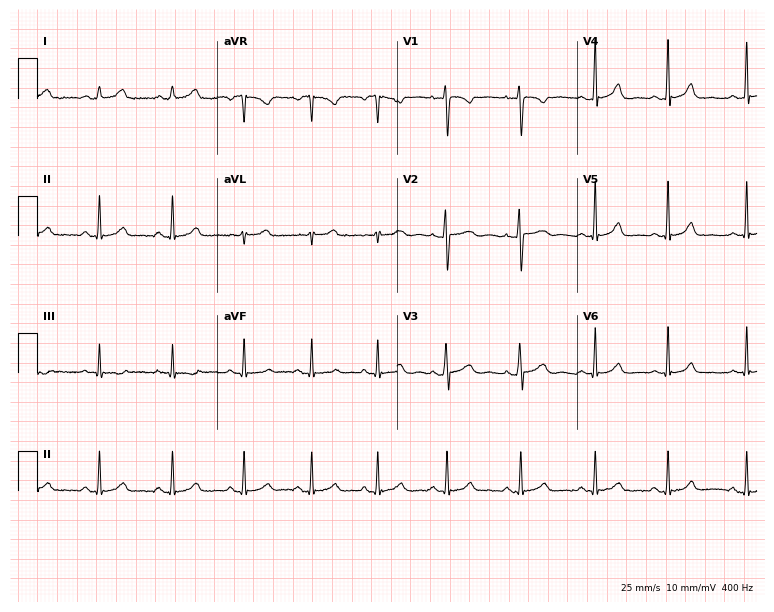
12-lead ECG from a female patient, 27 years old. Screened for six findings — first-degree AV block, right bundle branch block, left bundle branch block, sinus bradycardia, atrial fibrillation, sinus tachycardia — none is recorded.